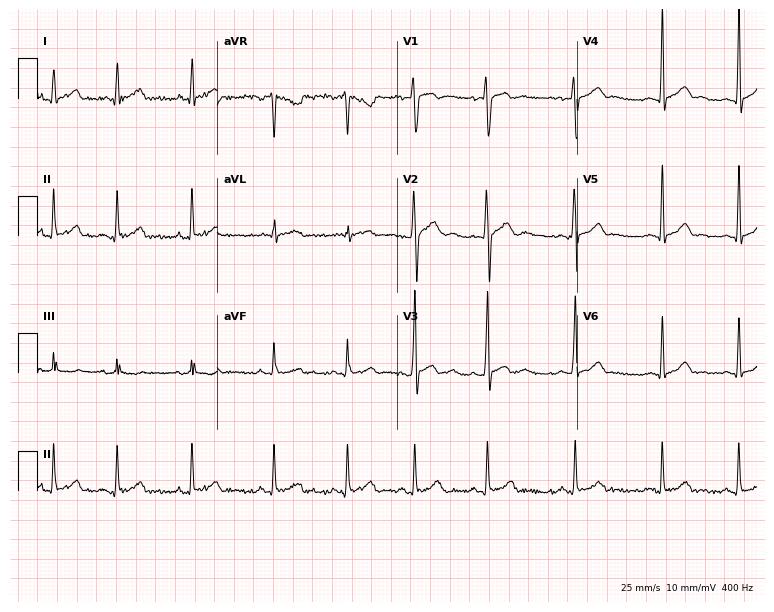
Resting 12-lead electrocardiogram. Patient: a man, 27 years old. None of these six findings is recorded: first-degree AV block, right bundle branch block, left bundle branch block, sinus bradycardia, atrial fibrillation, sinus tachycardia.